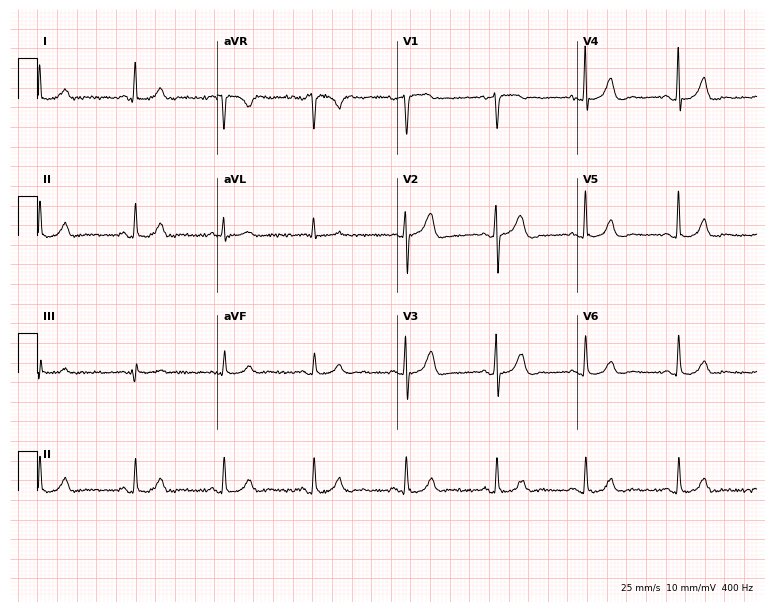
Standard 12-lead ECG recorded from a 72-year-old female (7.3-second recording at 400 Hz). Read as a normal ECG.